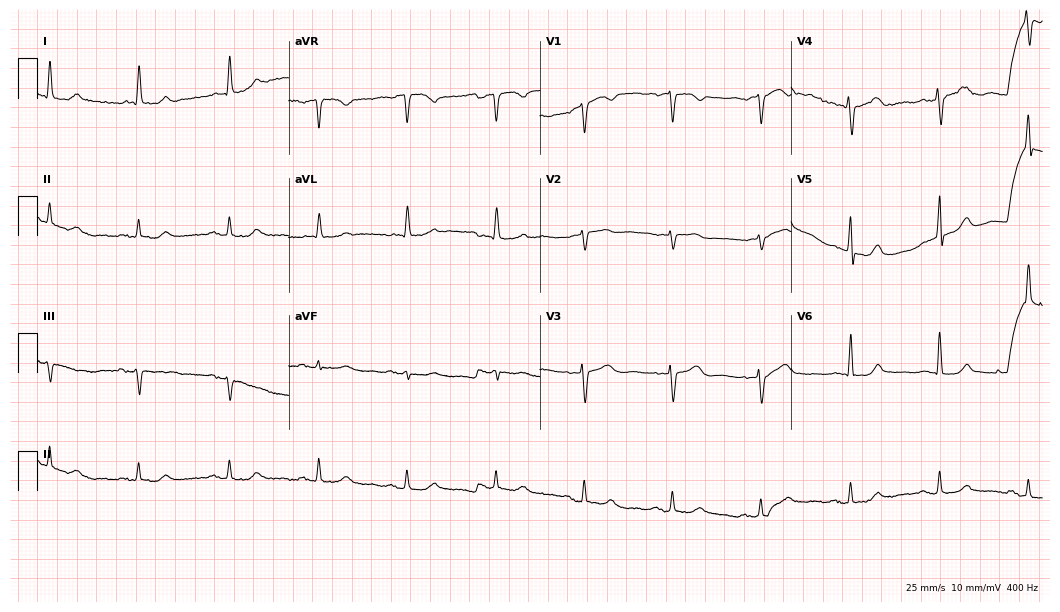
12-lead ECG (10.2-second recording at 400 Hz) from a woman, 76 years old. Screened for six findings — first-degree AV block, right bundle branch block, left bundle branch block, sinus bradycardia, atrial fibrillation, sinus tachycardia — none is recorded.